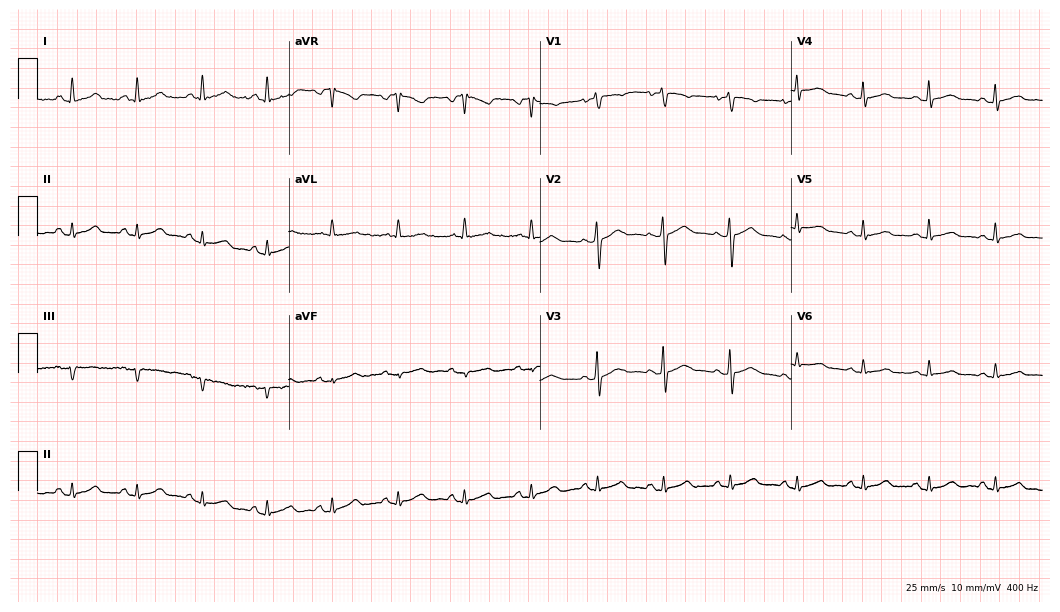
Electrocardiogram (10.2-second recording at 400 Hz), a 65-year-old female patient. Overall reading on record: normal ECG.